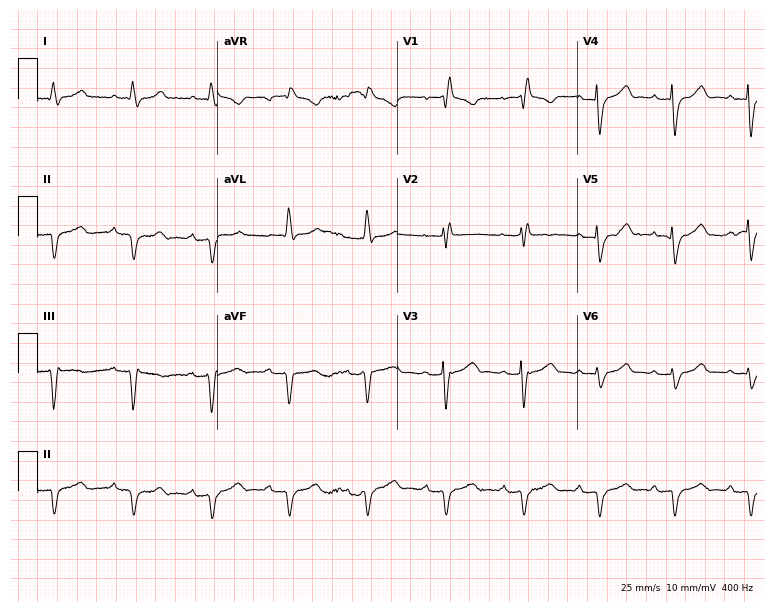
12-lead ECG (7.3-second recording at 400 Hz) from an 81-year-old male patient. Findings include right bundle branch block (RBBB).